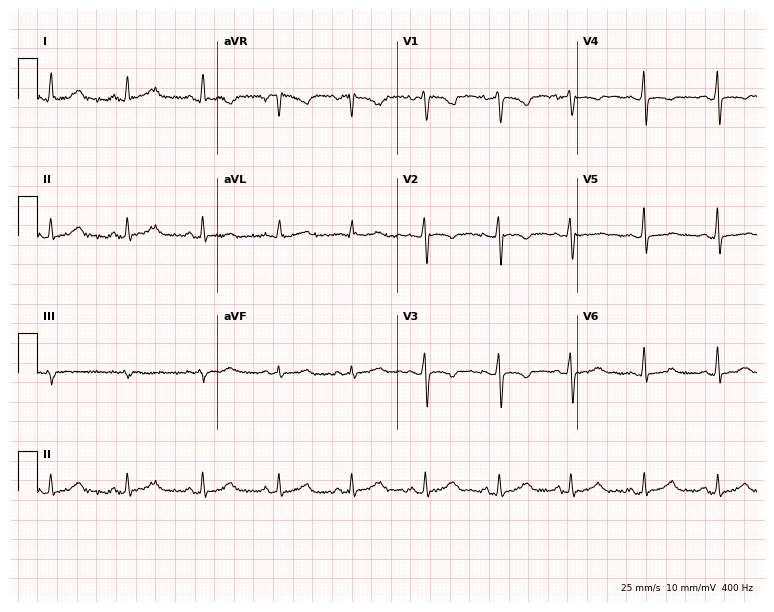
12-lead ECG from a 35-year-old female patient (7.3-second recording at 400 Hz). No first-degree AV block, right bundle branch block (RBBB), left bundle branch block (LBBB), sinus bradycardia, atrial fibrillation (AF) or sinus tachycardia recorded for this tracing.